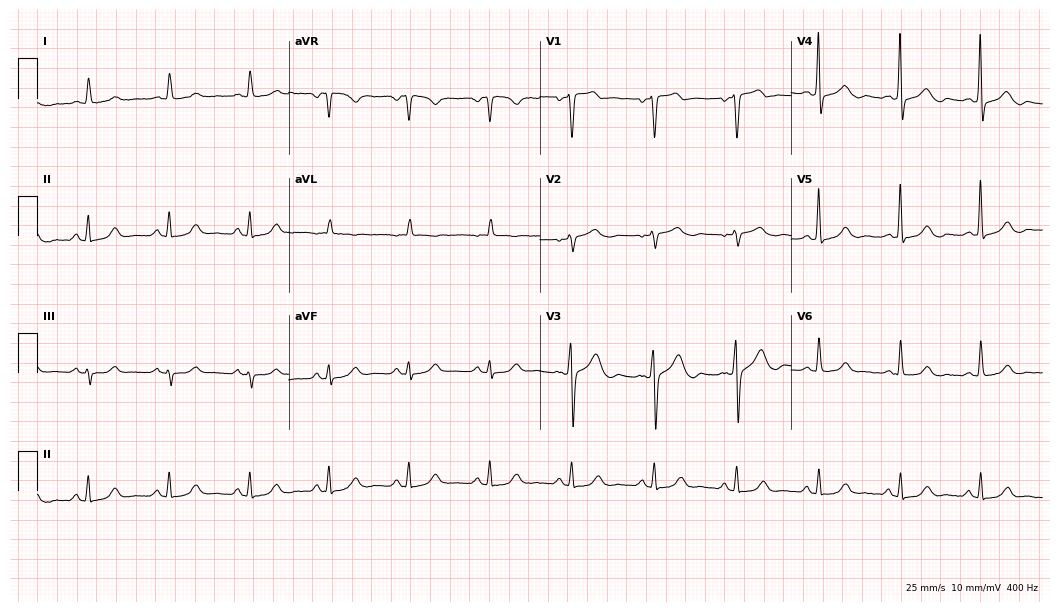
Standard 12-lead ECG recorded from a 70-year-old male patient (10.2-second recording at 400 Hz). None of these six findings is recorded: first-degree AV block, right bundle branch block, left bundle branch block, sinus bradycardia, atrial fibrillation, sinus tachycardia. Other findings, if any, are not listed.